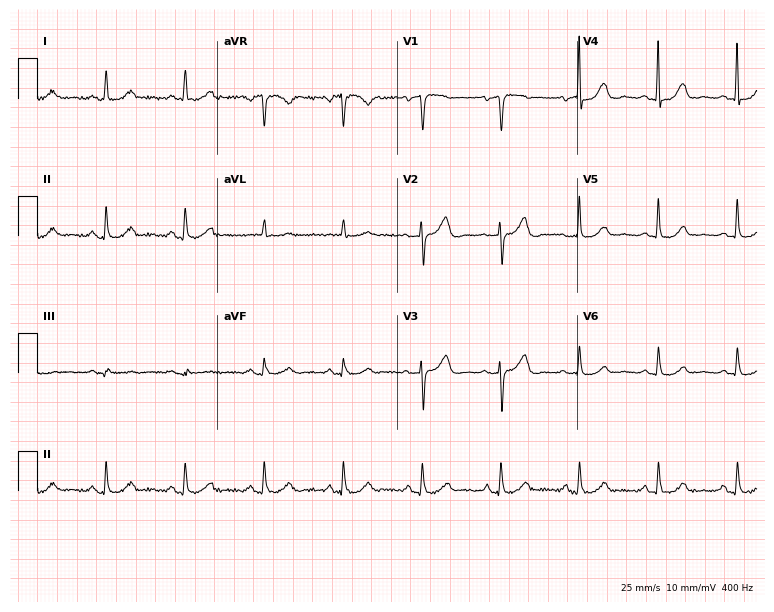
12-lead ECG from a woman, 70 years old. Labelled as a normal ECG.